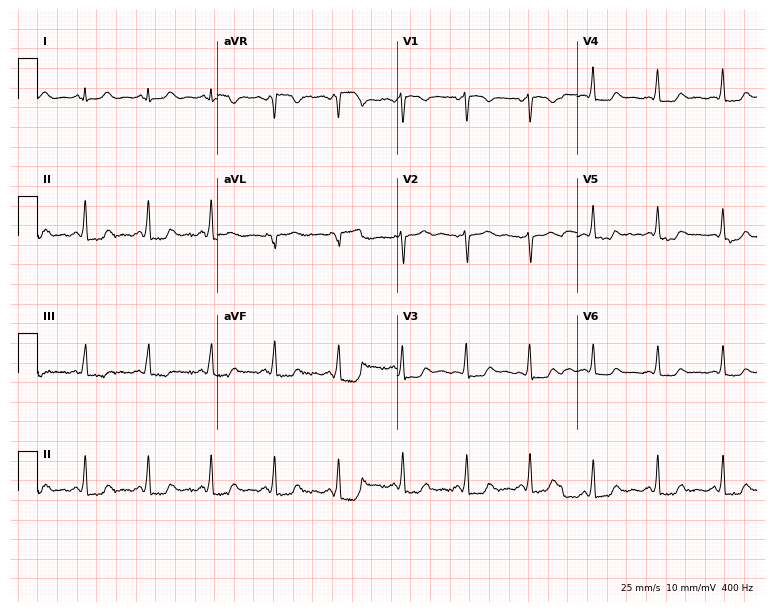
12-lead ECG from a woman, 53 years old (7.3-second recording at 400 Hz). No first-degree AV block, right bundle branch block (RBBB), left bundle branch block (LBBB), sinus bradycardia, atrial fibrillation (AF) or sinus tachycardia recorded for this tracing. Findings outside these six are not listed.